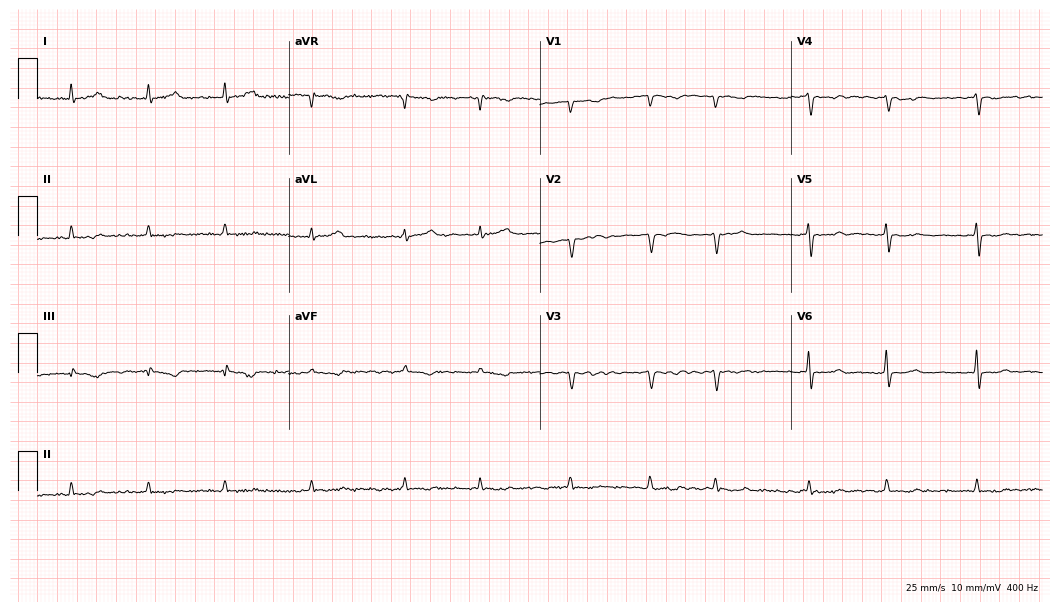
12-lead ECG (10.2-second recording at 400 Hz) from a woman, 74 years old. Screened for six findings — first-degree AV block, right bundle branch block, left bundle branch block, sinus bradycardia, atrial fibrillation, sinus tachycardia — none is recorded. Findings outside these six are not listed.